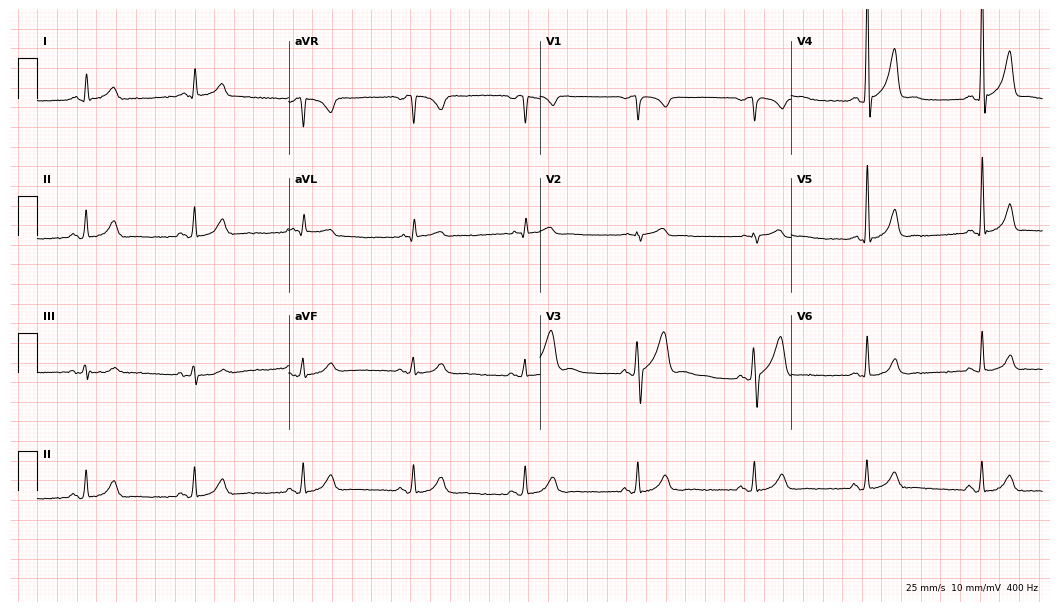
Standard 12-lead ECG recorded from a 53-year-old male patient (10.2-second recording at 400 Hz). None of these six findings is recorded: first-degree AV block, right bundle branch block, left bundle branch block, sinus bradycardia, atrial fibrillation, sinus tachycardia.